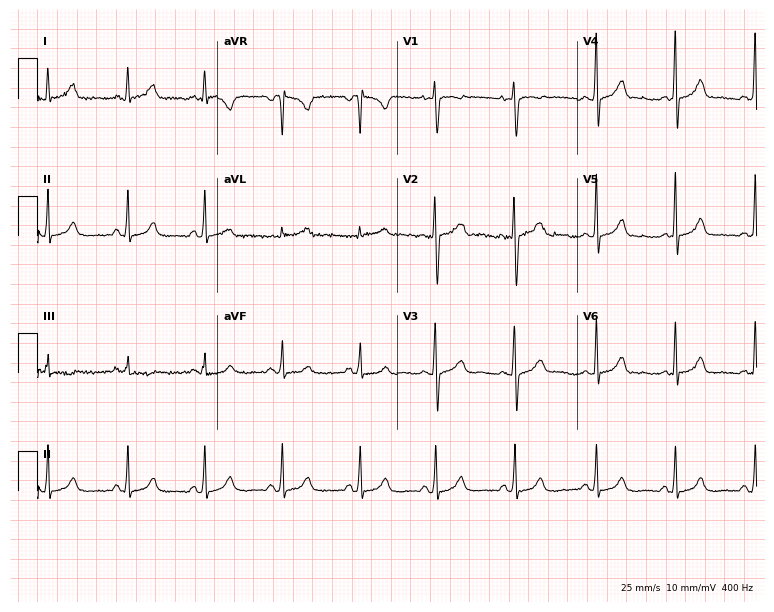
12-lead ECG from a female, 33 years old. Recorded interpretation: within normal limits.